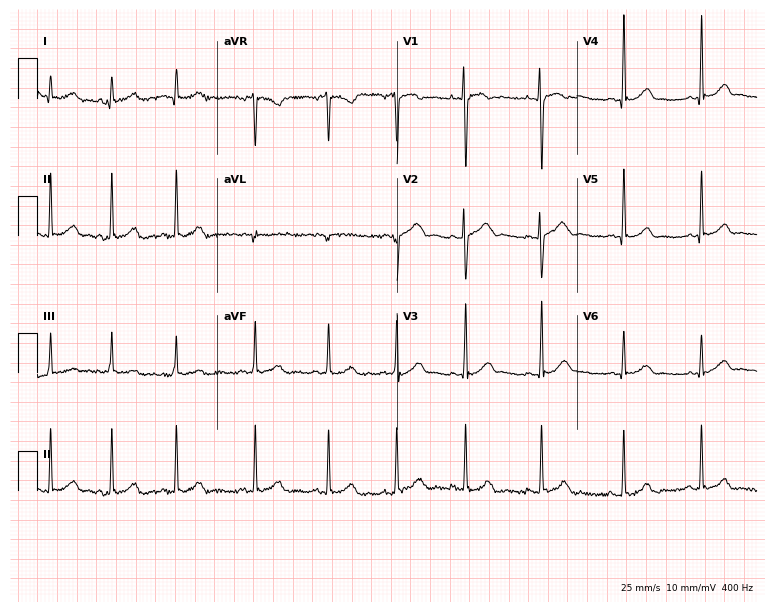
Resting 12-lead electrocardiogram (7.3-second recording at 400 Hz). Patient: a 17-year-old female. Read as a normal ECG.